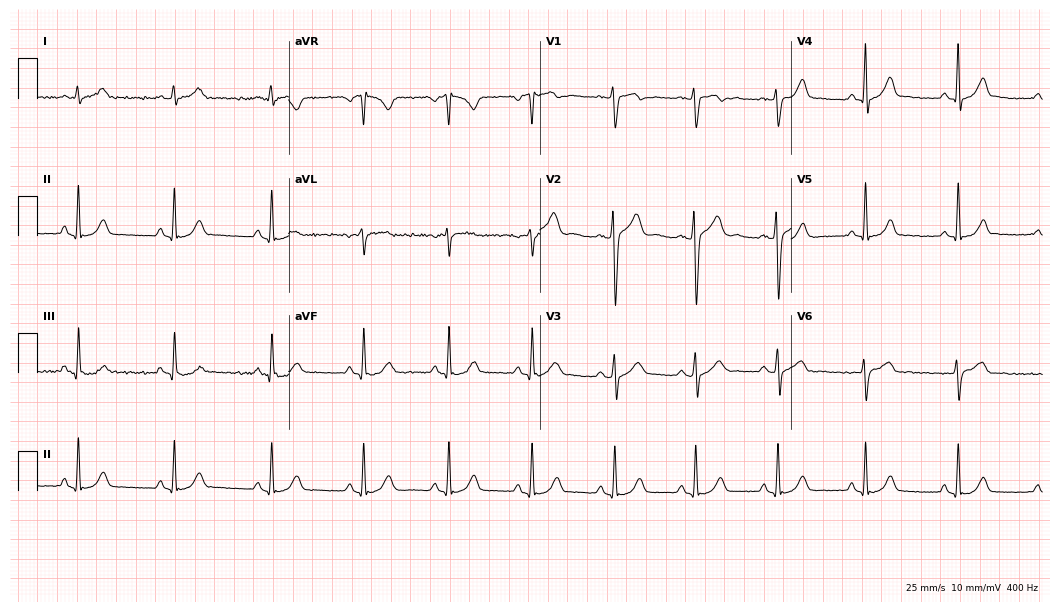
Standard 12-lead ECG recorded from a 42-year-old man. Read as a normal ECG.